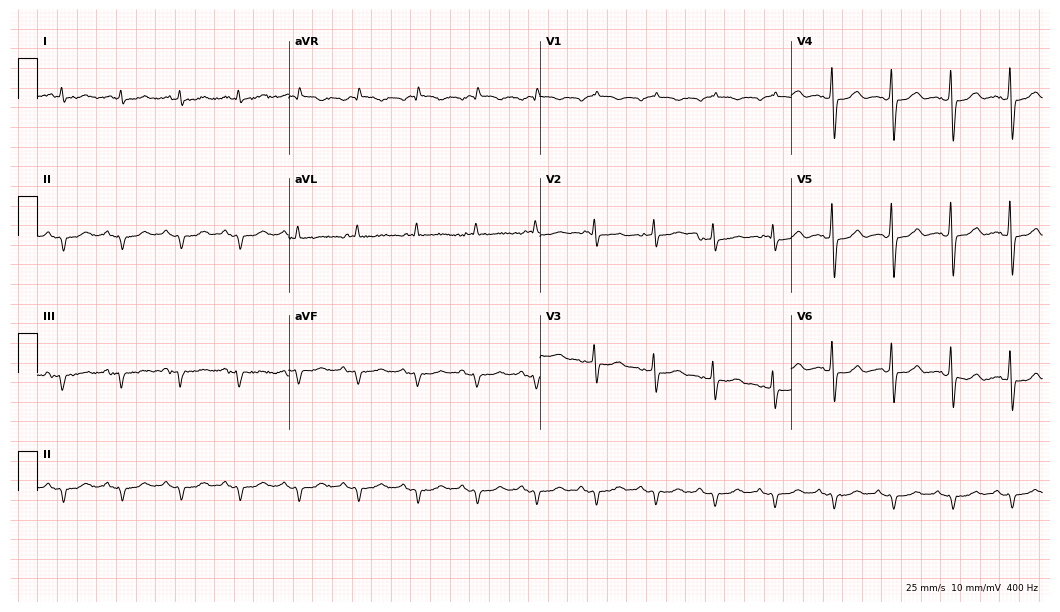
12-lead ECG from an 85-year-old man. No first-degree AV block, right bundle branch block, left bundle branch block, sinus bradycardia, atrial fibrillation or sinus tachycardia recorded for this tracing.